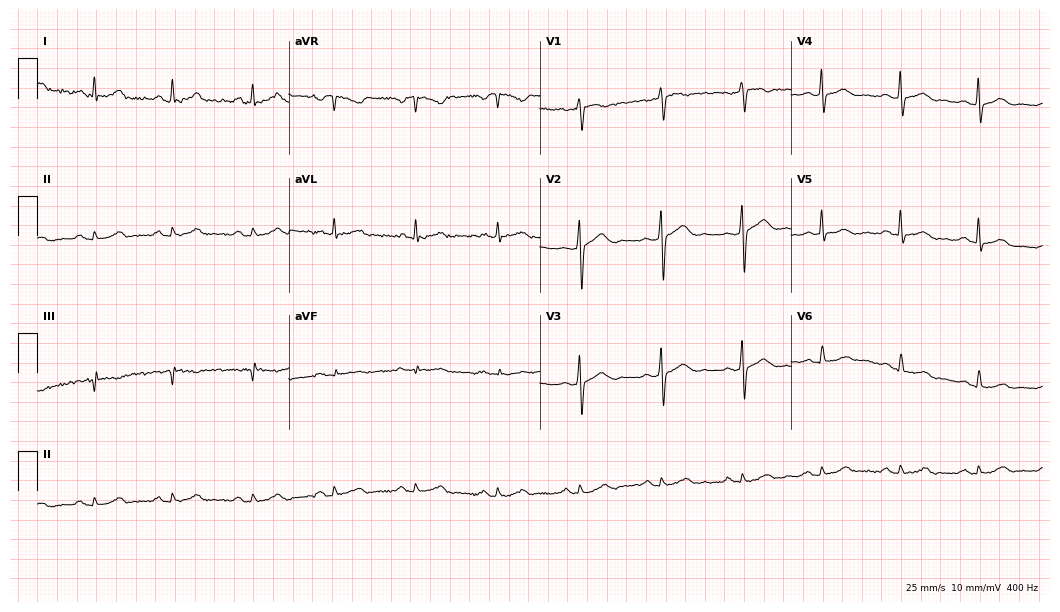
12-lead ECG from a 43-year-old male. Labelled as a normal ECG.